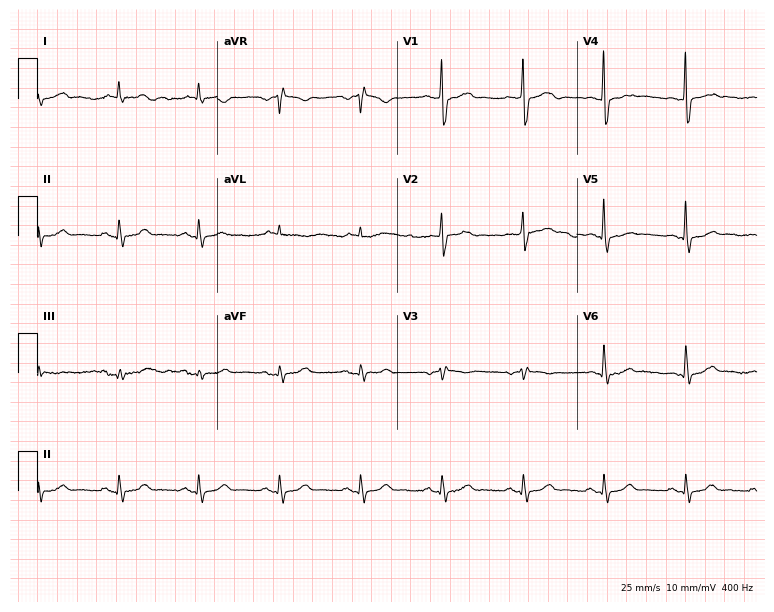
Electrocardiogram, a 71-year-old male. Overall reading on record: normal ECG.